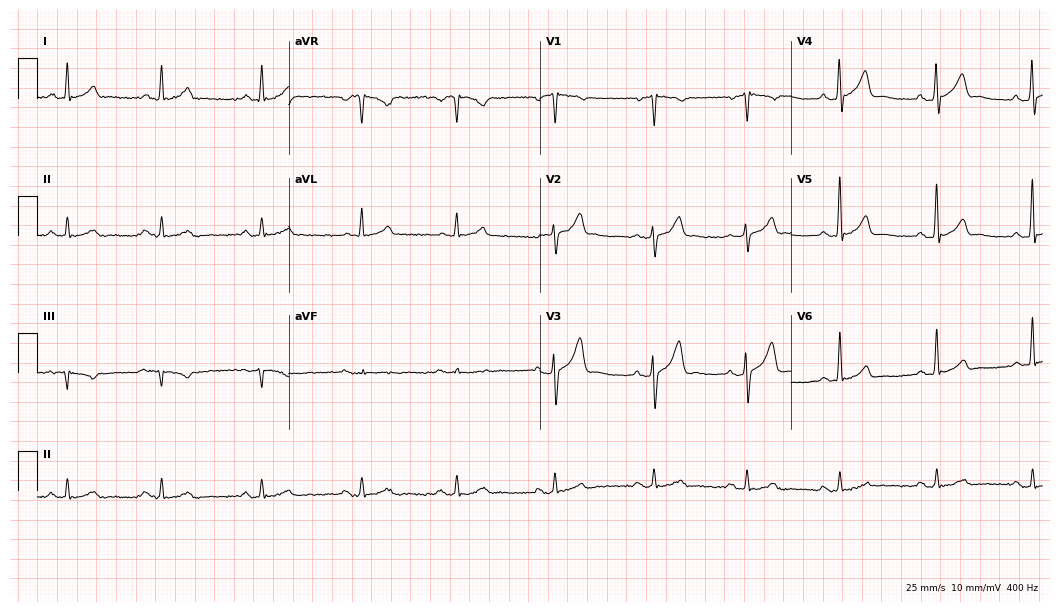
Resting 12-lead electrocardiogram. Patient: a 43-year-old male. Read as a normal ECG.